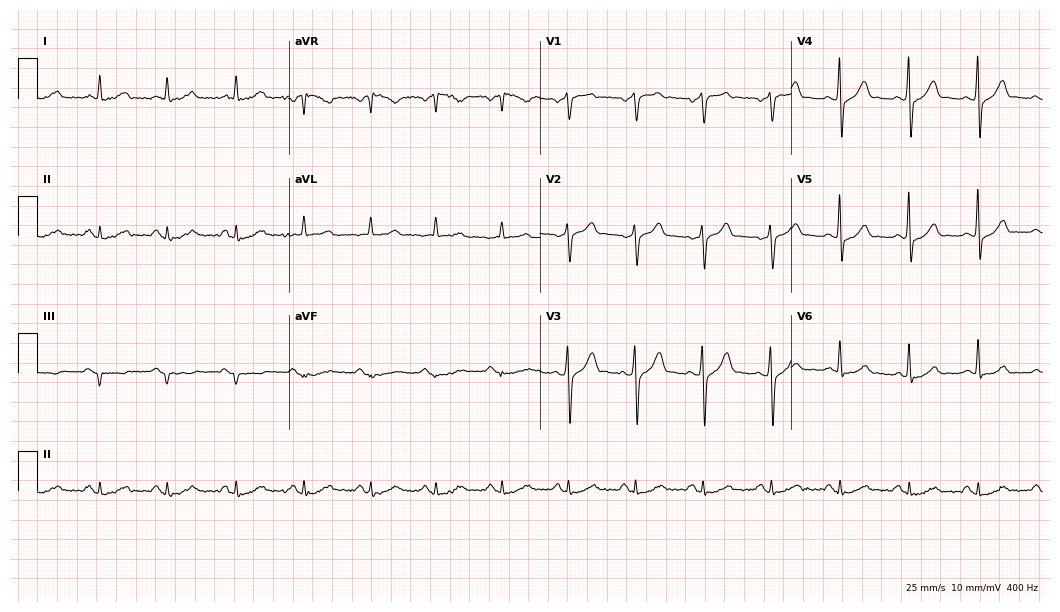
Electrocardiogram, a 64-year-old man. Of the six screened findings (first-degree AV block, right bundle branch block (RBBB), left bundle branch block (LBBB), sinus bradycardia, atrial fibrillation (AF), sinus tachycardia), none is recorded. Only these six findings were labelled.